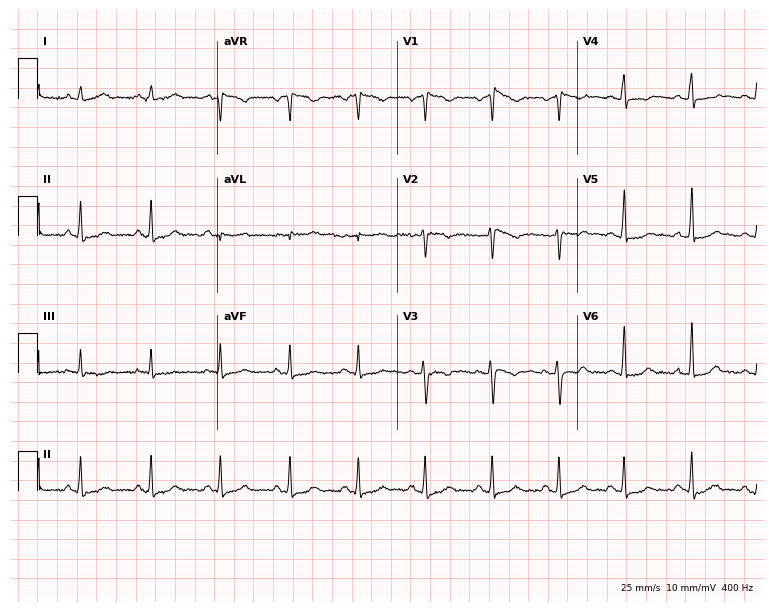
Standard 12-lead ECG recorded from a woman, 25 years old (7.3-second recording at 400 Hz). None of these six findings is recorded: first-degree AV block, right bundle branch block (RBBB), left bundle branch block (LBBB), sinus bradycardia, atrial fibrillation (AF), sinus tachycardia. Only these six findings were labelled.